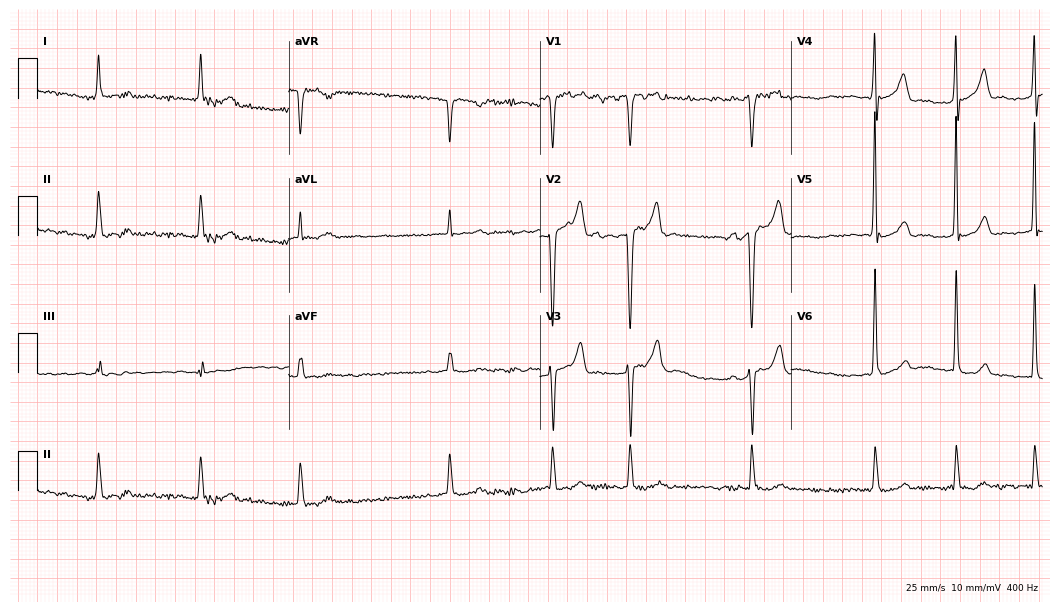
12-lead ECG (10.2-second recording at 400 Hz) from a 70-year-old male. Findings include atrial fibrillation.